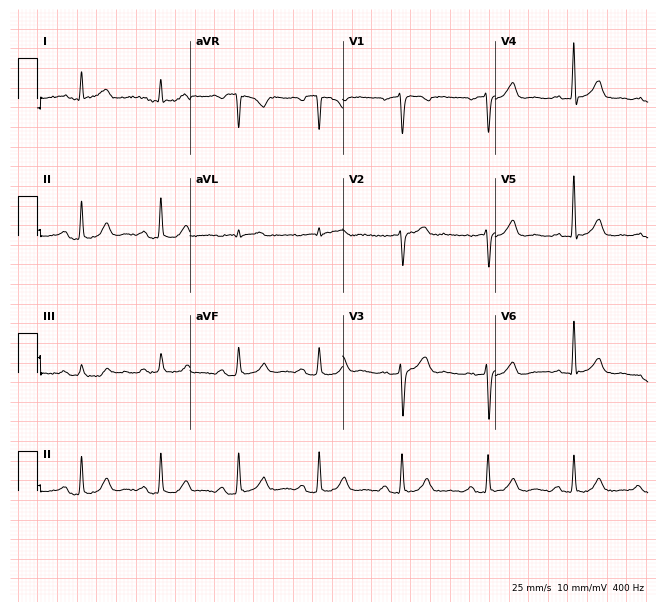
ECG (6.2-second recording at 400 Hz) — a male, 52 years old. Labelled as a normal ECG.